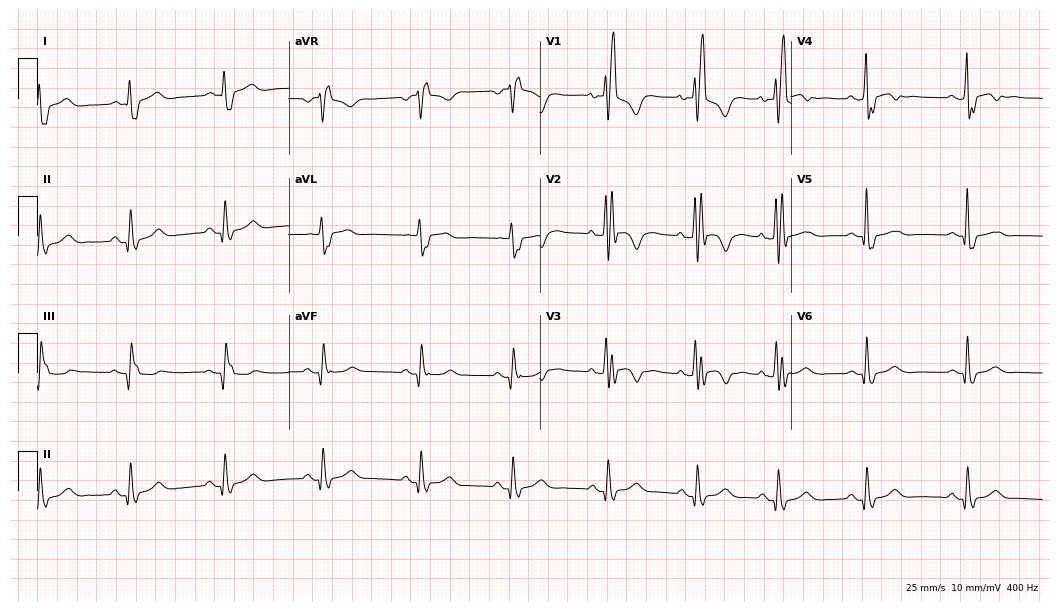
ECG (10.2-second recording at 400 Hz) — a 49-year-old male. Findings include right bundle branch block (RBBB).